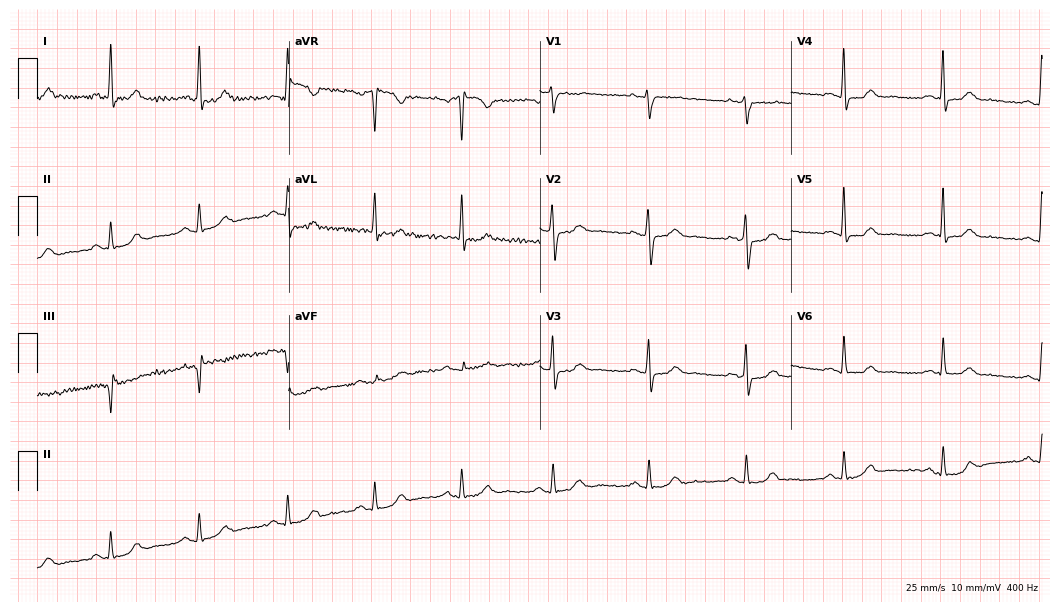
12-lead ECG from a female, 62 years old (10.2-second recording at 400 Hz). Recorded interpretation: within normal limits.